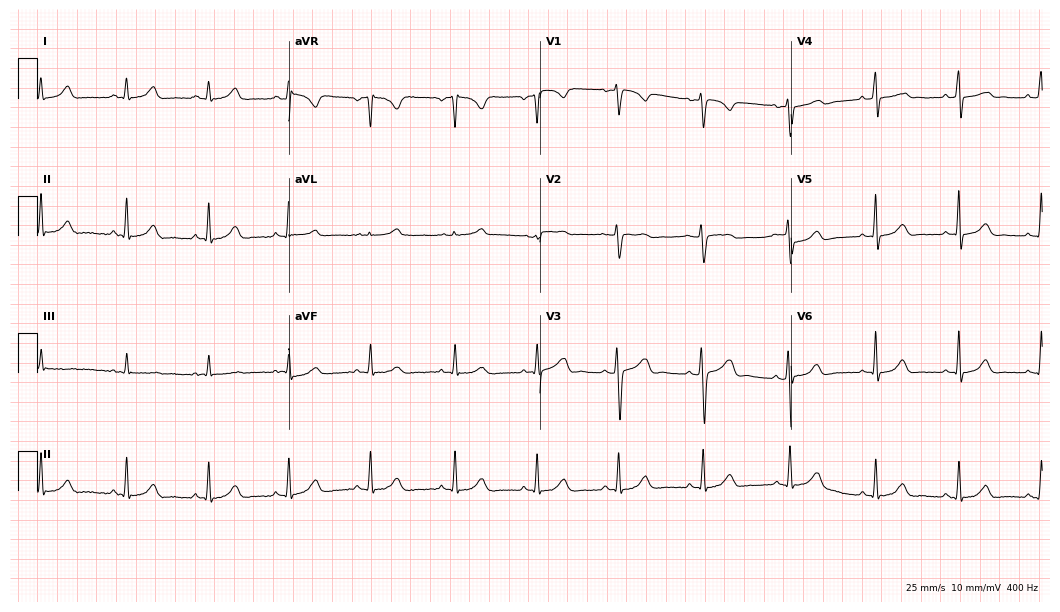
ECG (10.2-second recording at 400 Hz) — a 29-year-old woman. Labelled as a normal ECG.